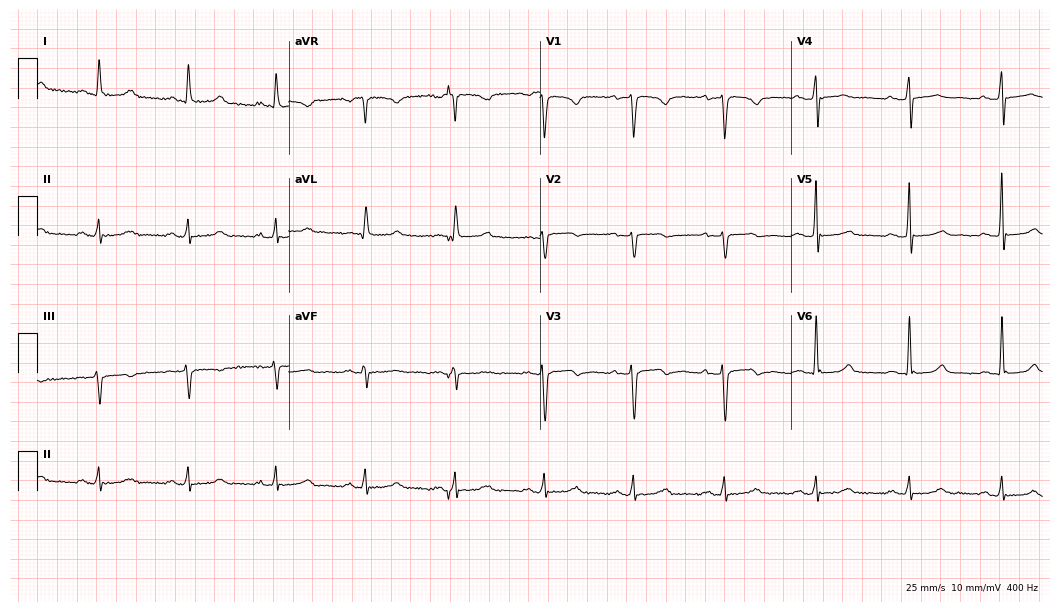
ECG — a 65-year-old woman. Screened for six findings — first-degree AV block, right bundle branch block (RBBB), left bundle branch block (LBBB), sinus bradycardia, atrial fibrillation (AF), sinus tachycardia — none is recorded.